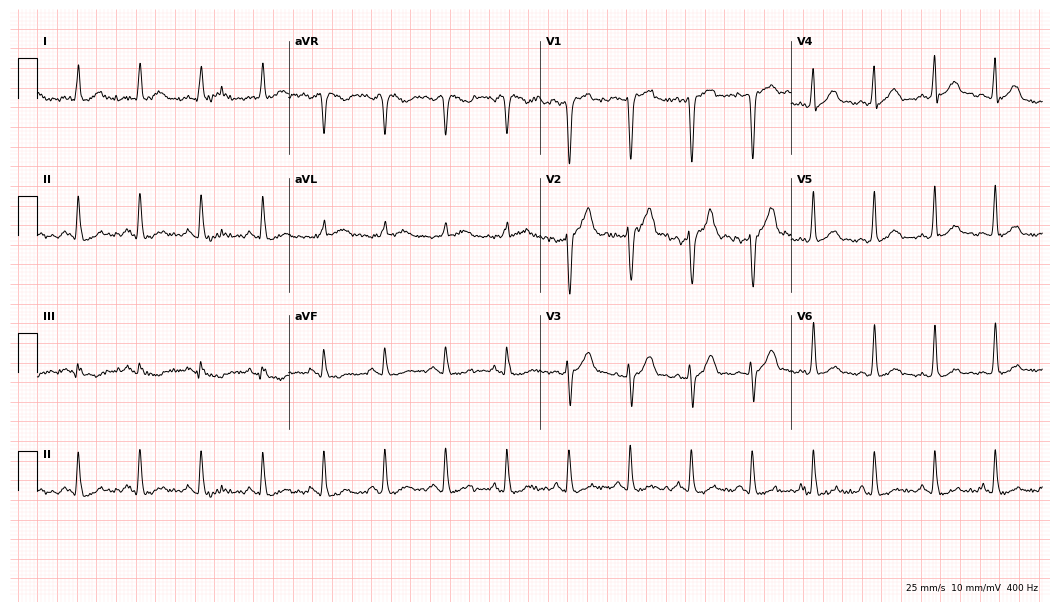
12-lead ECG from a male, 53 years old (10.2-second recording at 400 Hz). Recorded interpretation: within normal limits.